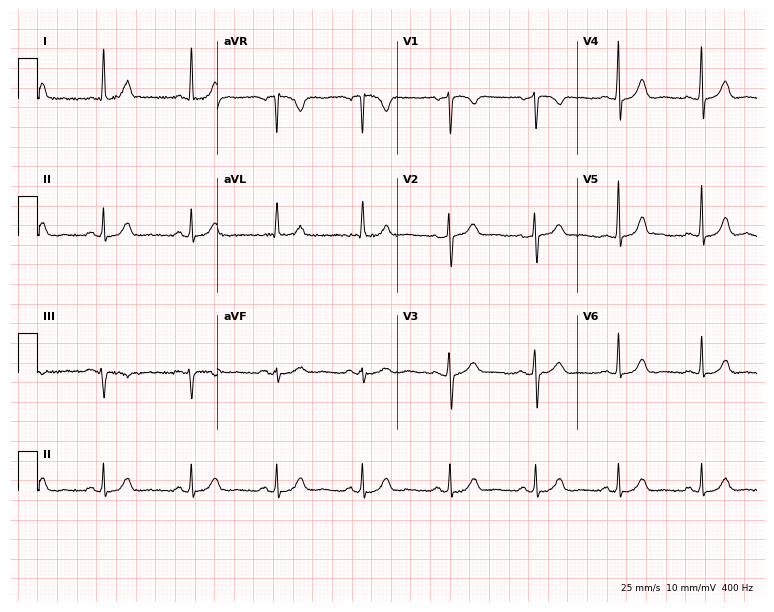
Standard 12-lead ECG recorded from a male patient, 42 years old. Read as a normal ECG.